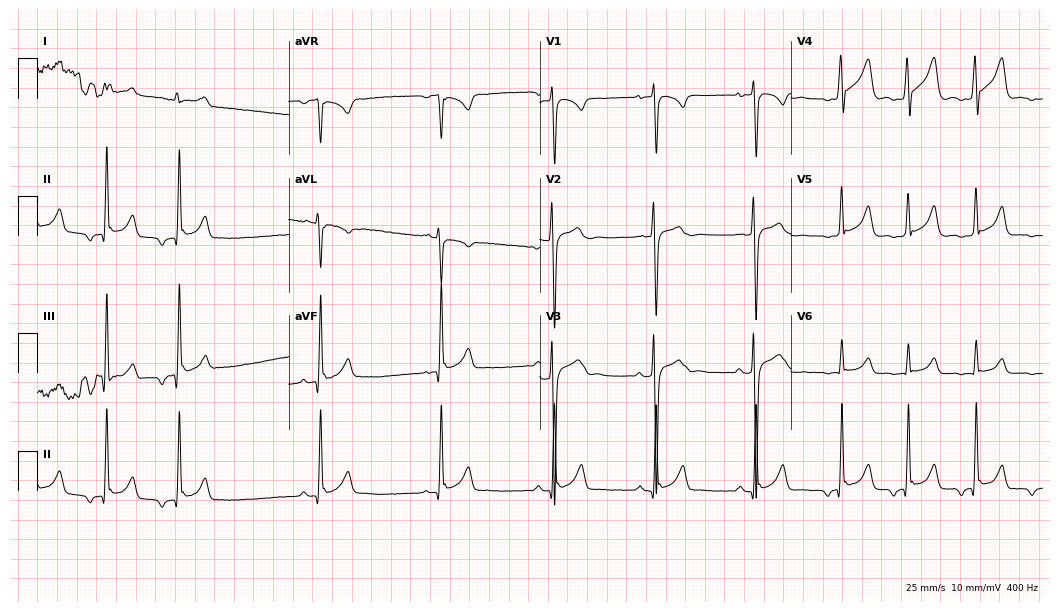
Electrocardiogram (10.2-second recording at 400 Hz), a 22-year-old man. Of the six screened findings (first-degree AV block, right bundle branch block, left bundle branch block, sinus bradycardia, atrial fibrillation, sinus tachycardia), none is recorded.